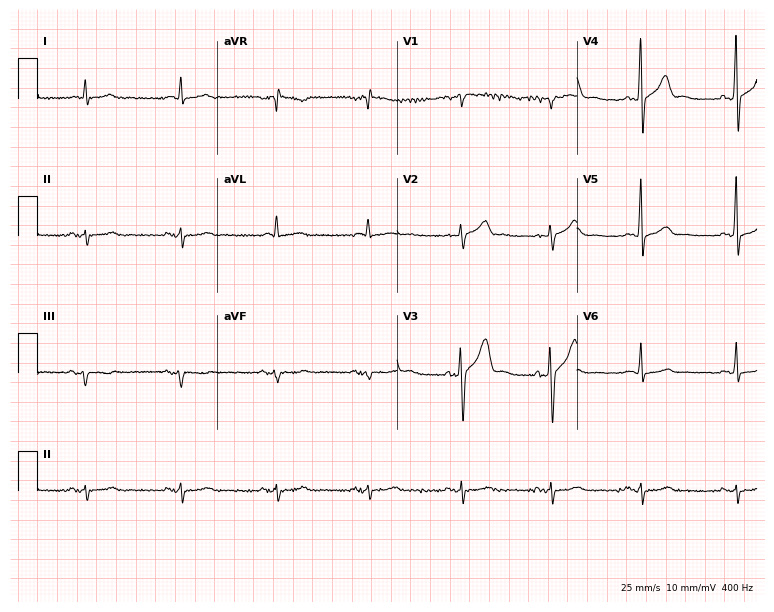
12-lead ECG (7.3-second recording at 400 Hz) from a 60-year-old male. Screened for six findings — first-degree AV block, right bundle branch block, left bundle branch block, sinus bradycardia, atrial fibrillation, sinus tachycardia — none is recorded. Other findings, if any, are not listed.